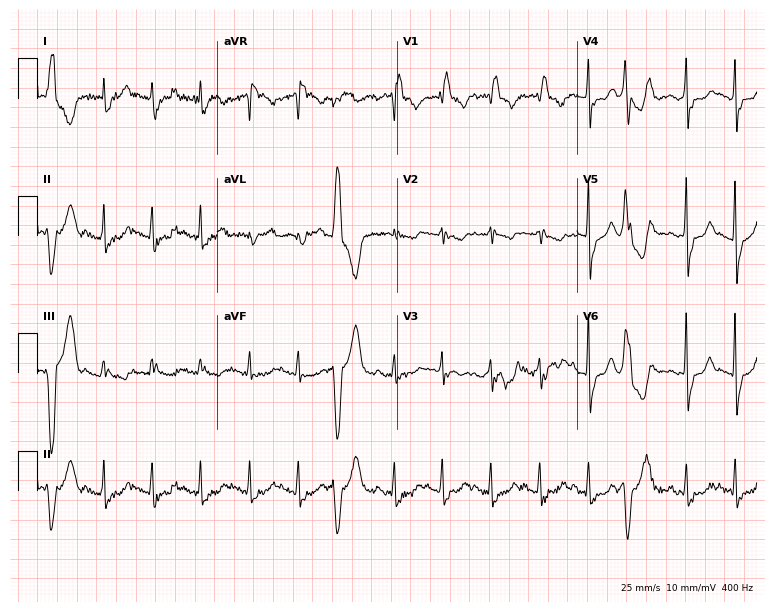
Electrocardiogram (7.3-second recording at 400 Hz), a 78-year-old female patient. Of the six screened findings (first-degree AV block, right bundle branch block, left bundle branch block, sinus bradycardia, atrial fibrillation, sinus tachycardia), none is recorded.